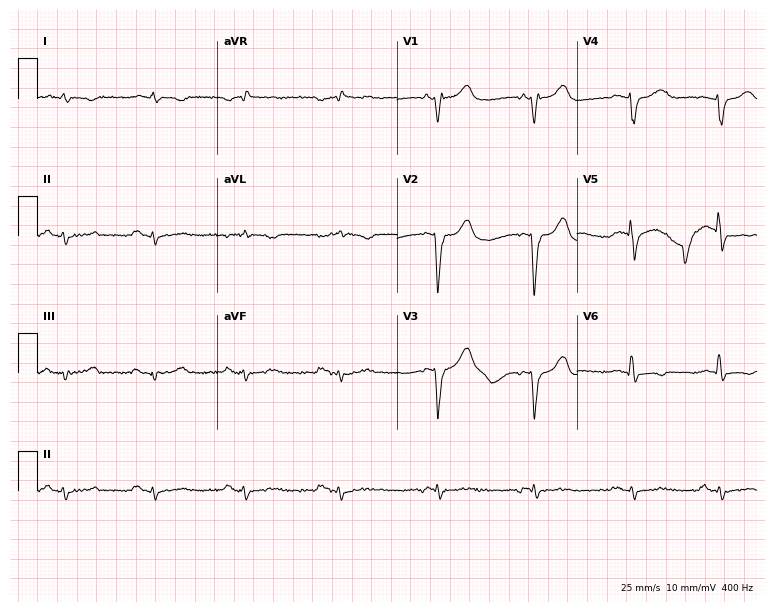
Standard 12-lead ECG recorded from a 60-year-old male patient (7.3-second recording at 400 Hz). None of these six findings is recorded: first-degree AV block, right bundle branch block (RBBB), left bundle branch block (LBBB), sinus bradycardia, atrial fibrillation (AF), sinus tachycardia.